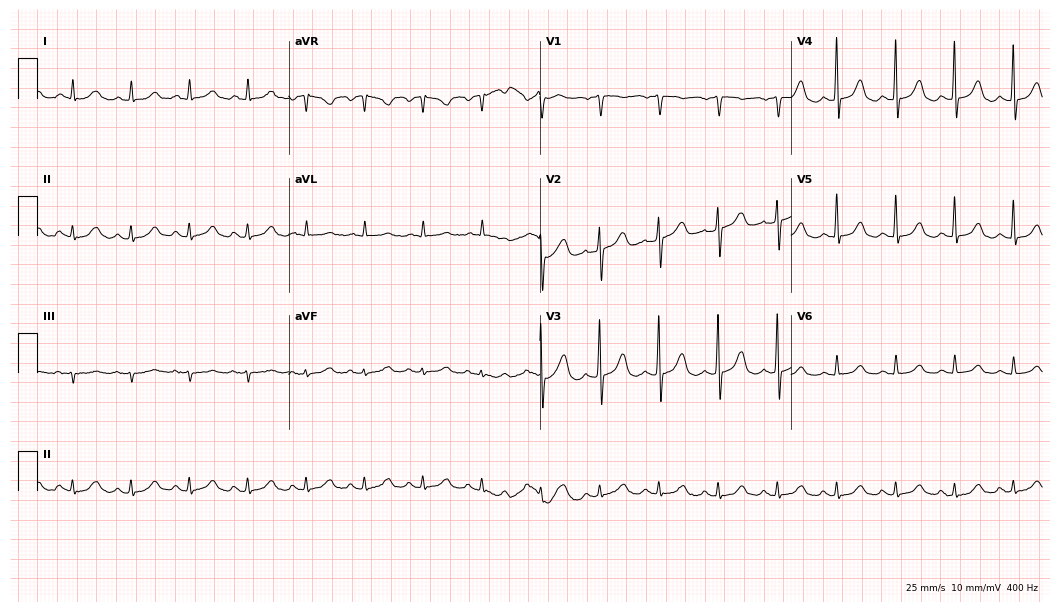
12-lead ECG from an 82-year-old female patient. Shows sinus tachycardia (a sinus rate of 100 beats per minute or more).